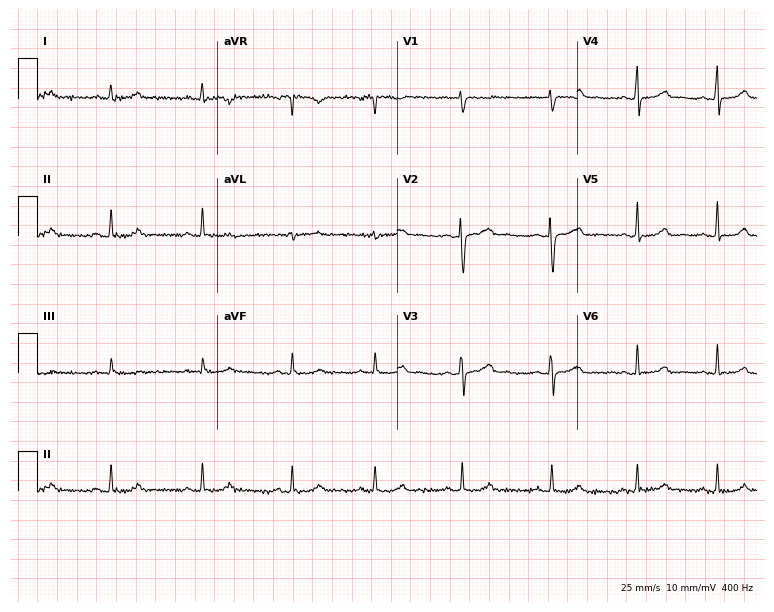
12-lead ECG from a 26-year-old woman. Screened for six findings — first-degree AV block, right bundle branch block (RBBB), left bundle branch block (LBBB), sinus bradycardia, atrial fibrillation (AF), sinus tachycardia — none is recorded. Findings outside these six are not listed.